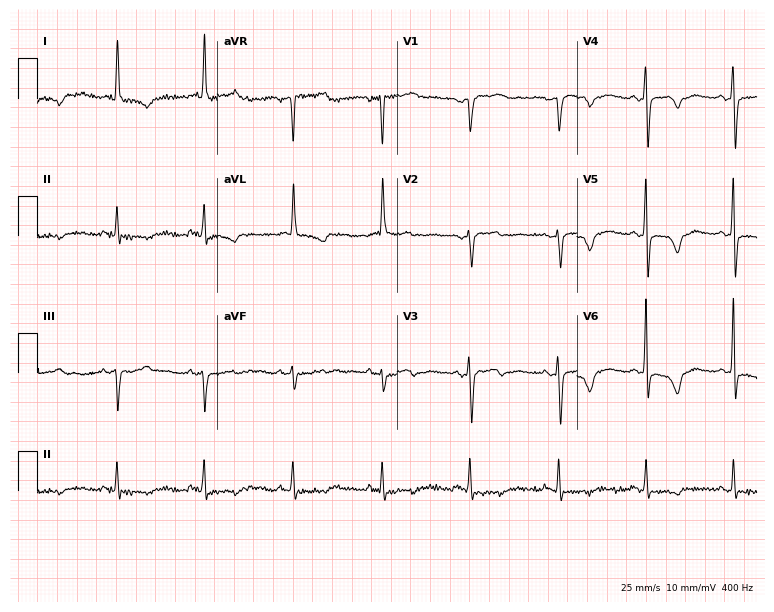
Electrocardiogram, a female, 79 years old. Of the six screened findings (first-degree AV block, right bundle branch block, left bundle branch block, sinus bradycardia, atrial fibrillation, sinus tachycardia), none is recorded.